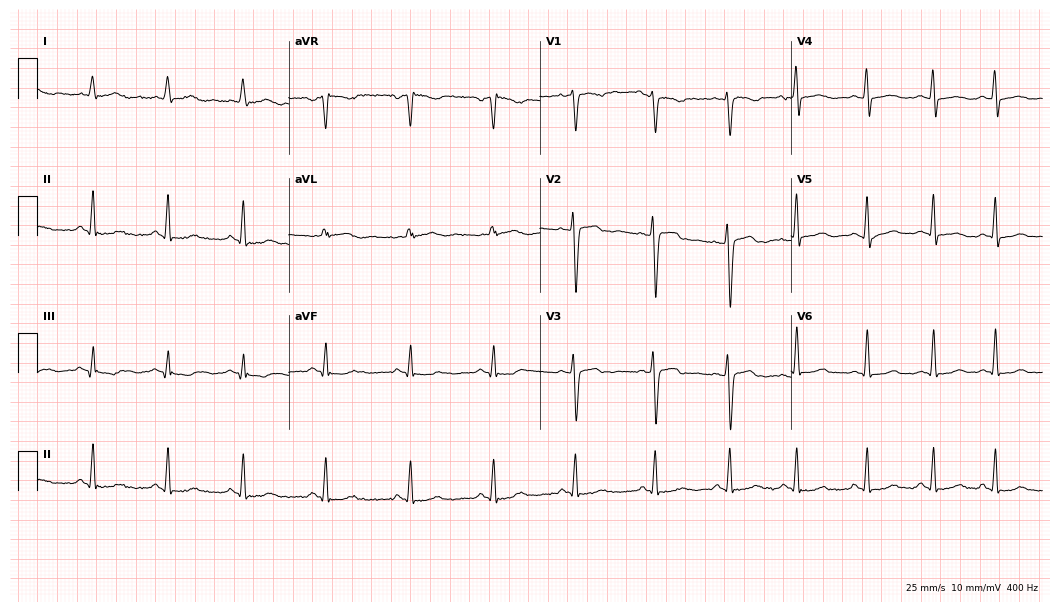
12-lead ECG from a female, 35 years old. Recorded interpretation: within normal limits.